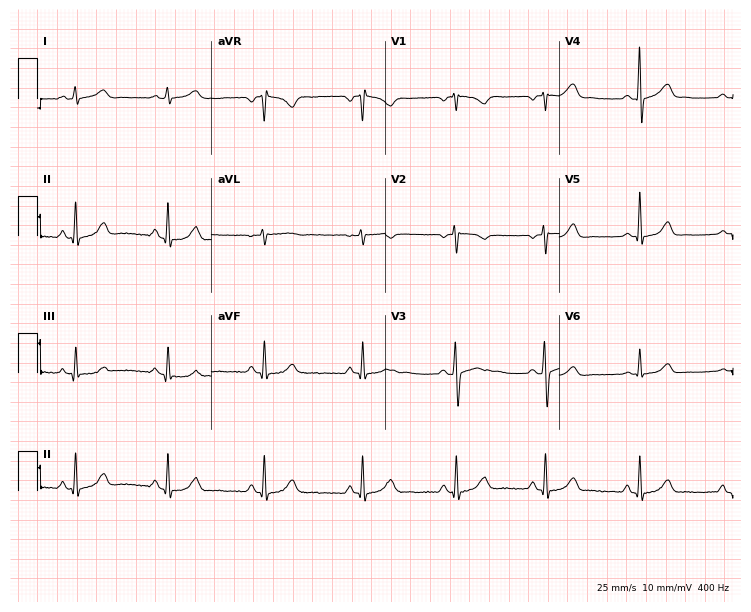
ECG — a female, 23 years old. Screened for six findings — first-degree AV block, right bundle branch block, left bundle branch block, sinus bradycardia, atrial fibrillation, sinus tachycardia — none is recorded.